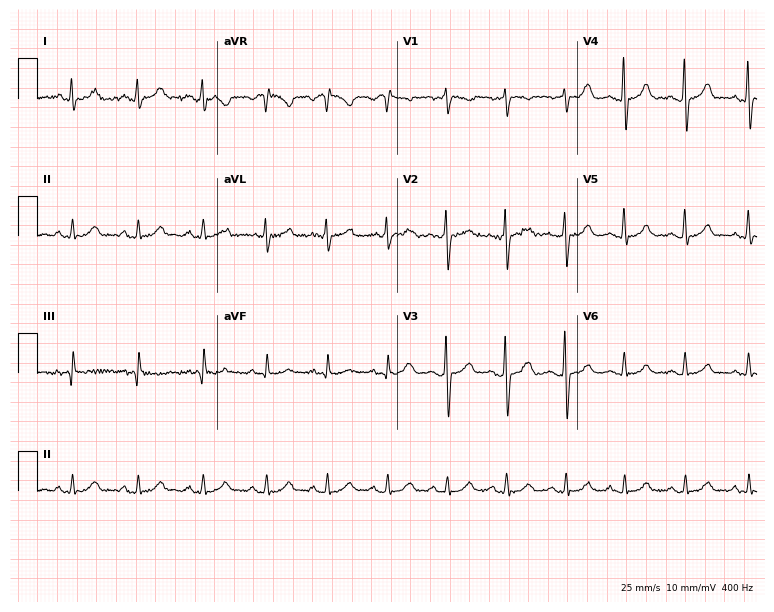
12-lead ECG from a woman, 30 years old (7.3-second recording at 400 Hz). Recorded interpretation: within normal limits.